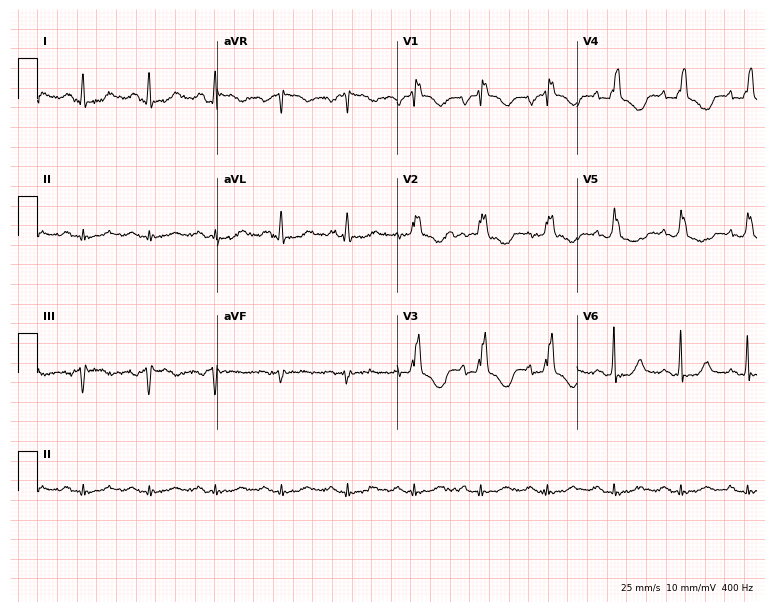
Standard 12-lead ECG recorded from a 40-year-old female patient (7.3-second recording at 400 Hz). The tracing shows right bundle branch block.